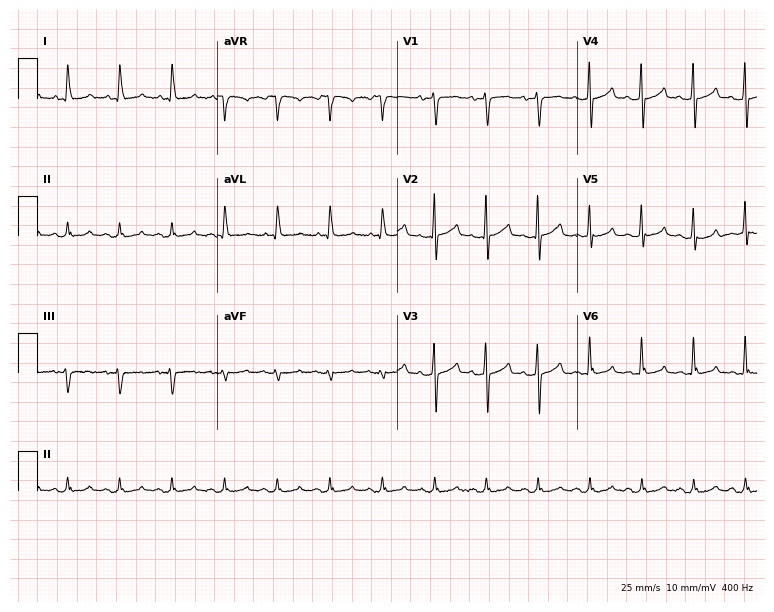
Electrocardiogram, a man, 57 years old. Interpretation includes sinus tachycardia (a sinus rate of 100 beats per minute or more).